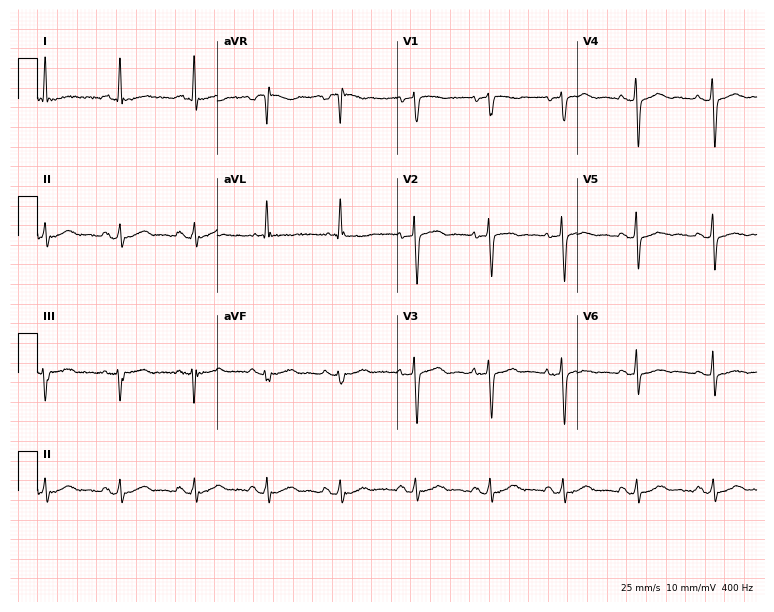
Standard 12-lead ECG recorded from a woman, 69 years old (7.3-second recording at 400 Hz). Read as a normal ECG.